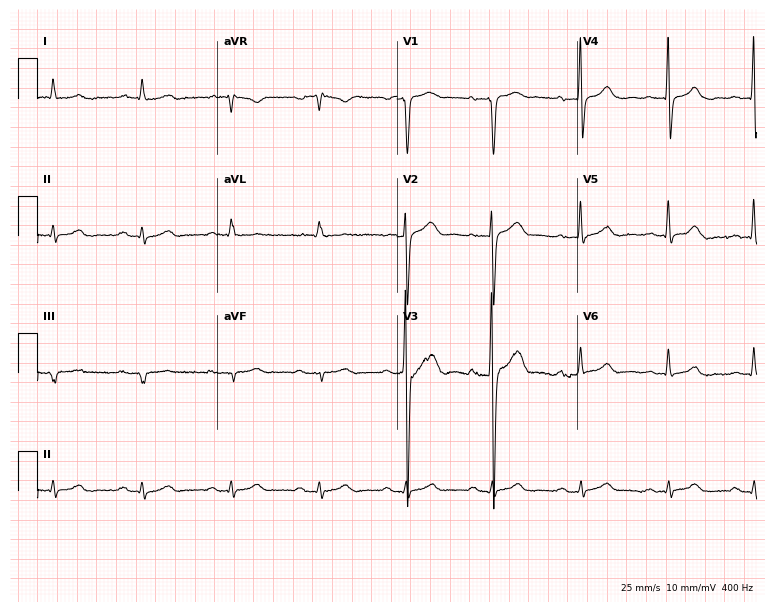
Resting 12-lead electrocardiogram (7.3-second recording at 400 Hz). Patient: a 79-year-old man. None of these six findings is recorded: first-degree AV block, right bundle branch block, left bundle branch block, sinus bradycardia, atrial fibrillation, sinus tachycardia.